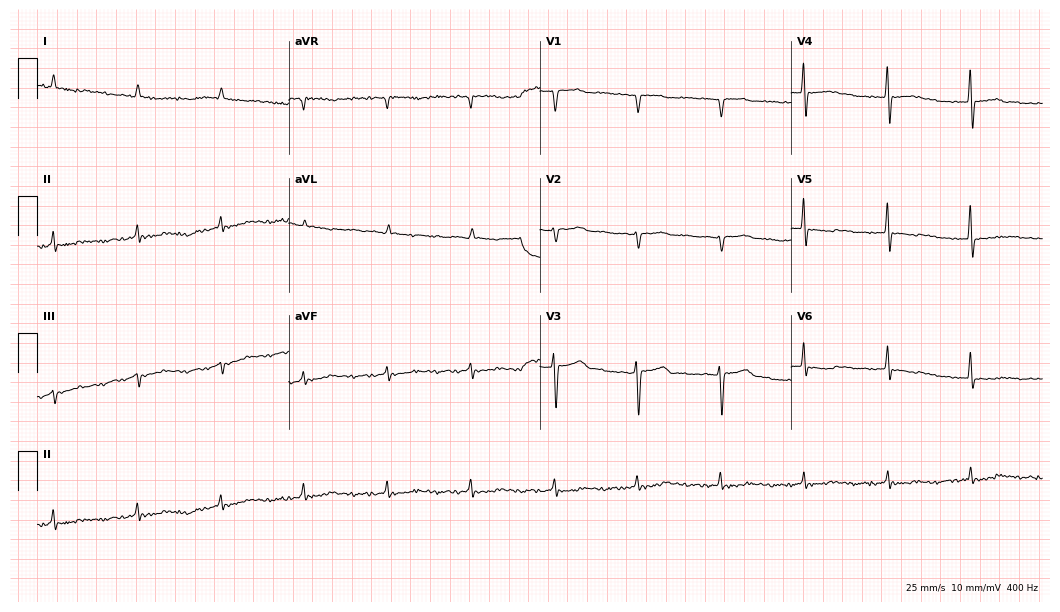
12-lead ECG from a male, 77 years old. Screened for six findings — first-degree AV block, right bundle branch block, left bundle branch block, sinus bradycardia, atrial fibrillation, sinus tachycardia — none is recorded. Other findings, if any, are not listed.